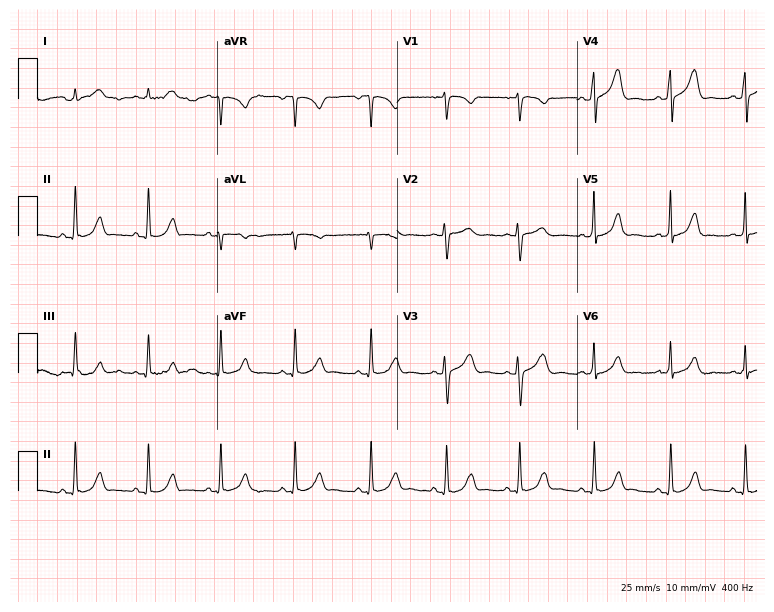
12-lead ECG from a 29-year-old woman (7.3-second recording at 400 Hz). Recorded interpretation: within normal limits.